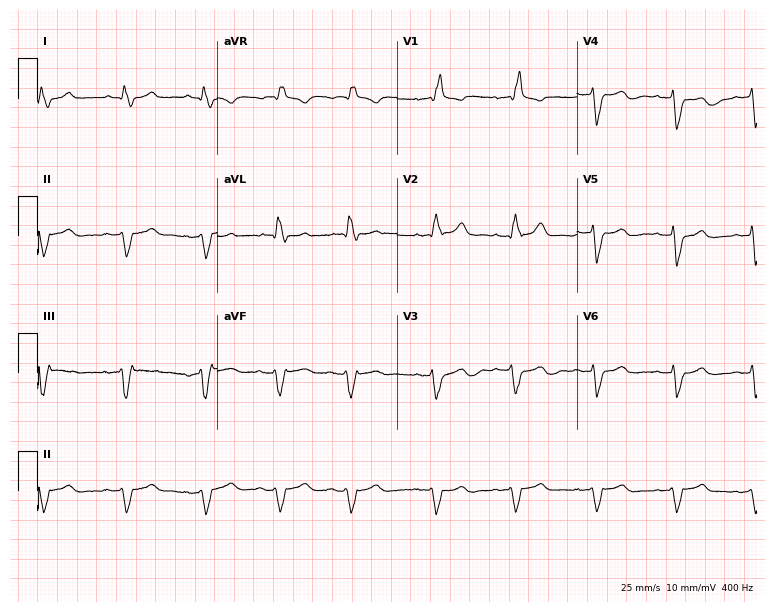
ECG — a male, 72 years old. Findings include right bundle branch block.